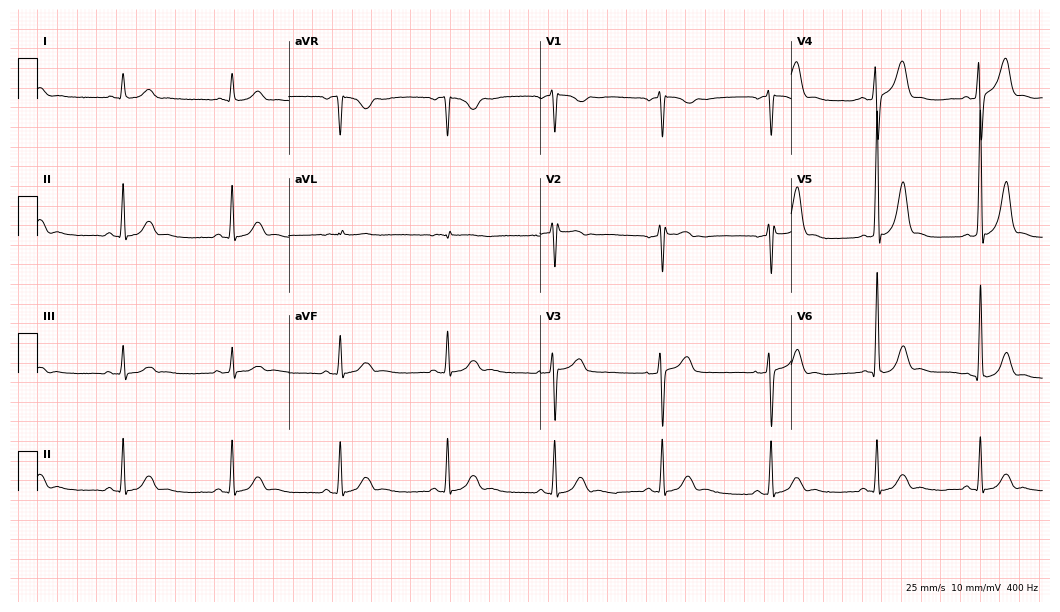
Resting 12-lead electrocardiogram (10.2-second recording at 400 Hz). Patient: a 74-year-old man. Read as a normal ECG.